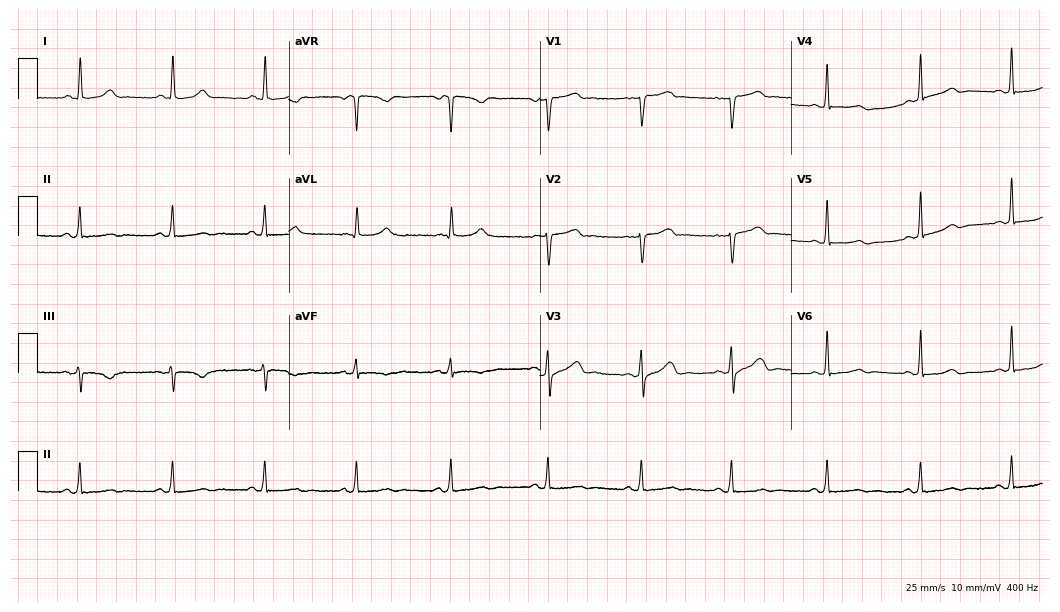
Resting 12-lead electrocardiogram (10.2-second recording at 400 Hz). Patient: a female, 38 years old. None of these six findings is recorded: first-degree AV block, right bundle branch block, left bundle branch block, sinus bradycardia, atrial fibrillation, sinus tachycardia.